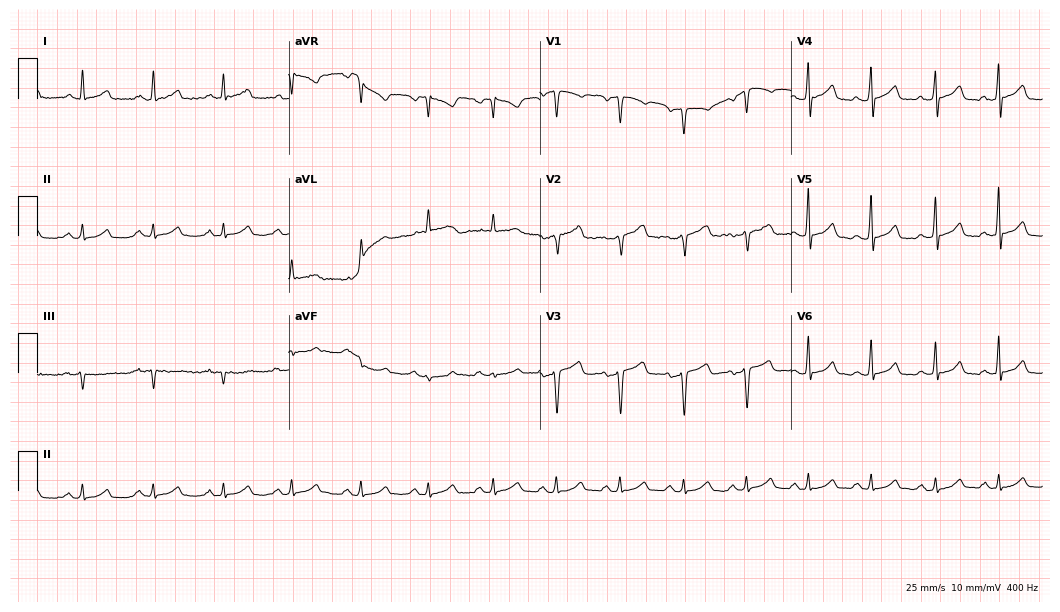
12-lead ECG from a female, 49 years old. No first-degree AV block, right bundle branch block (RBBB), left bundle branch block (LBBB), sinus bradycardia, atrial fibrillation (AF) or sinus tachycardia recorded for this tracing. Only these six findings were labelled.